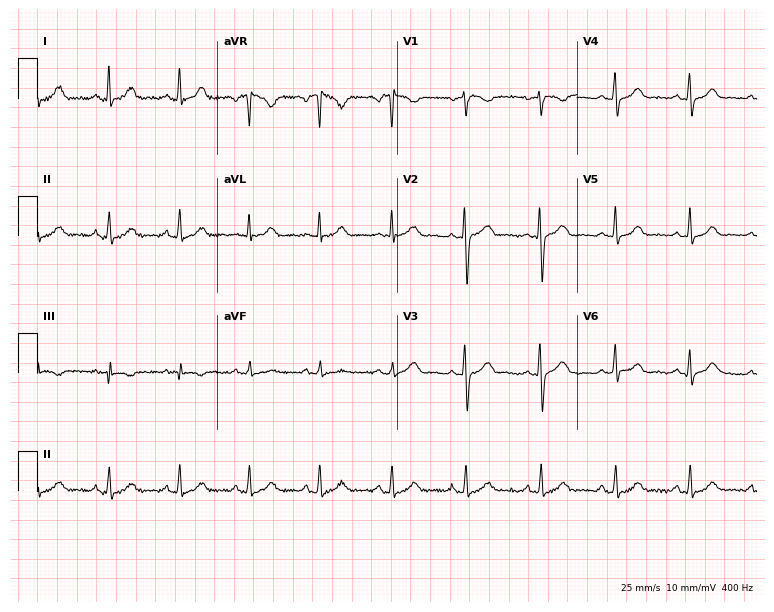
Standard 12-lead ECG recorded from a 35-year-old female patient. None of these six findings is recorded: first-degree AV block, right bundle branch block, left bundle branch block, sinus bradycardia, atrial fibrillation, sinus tachycardia. Findings outside these six are not listed.